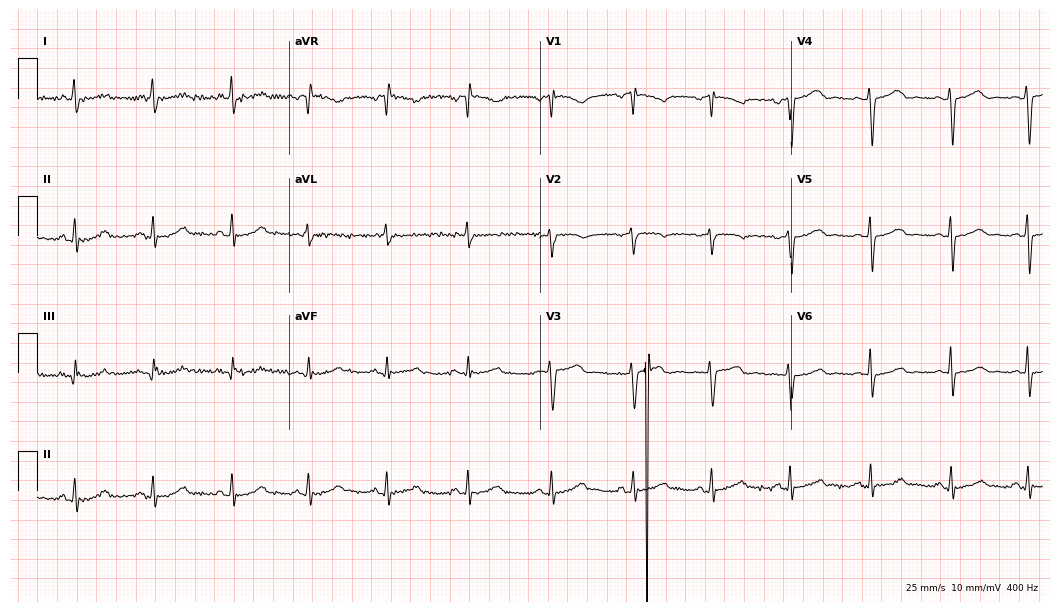
12-lead ECG from a 42-year-old female patient (10.2-second recording at 400 Hz). Recorded interpretation: within normal limits.